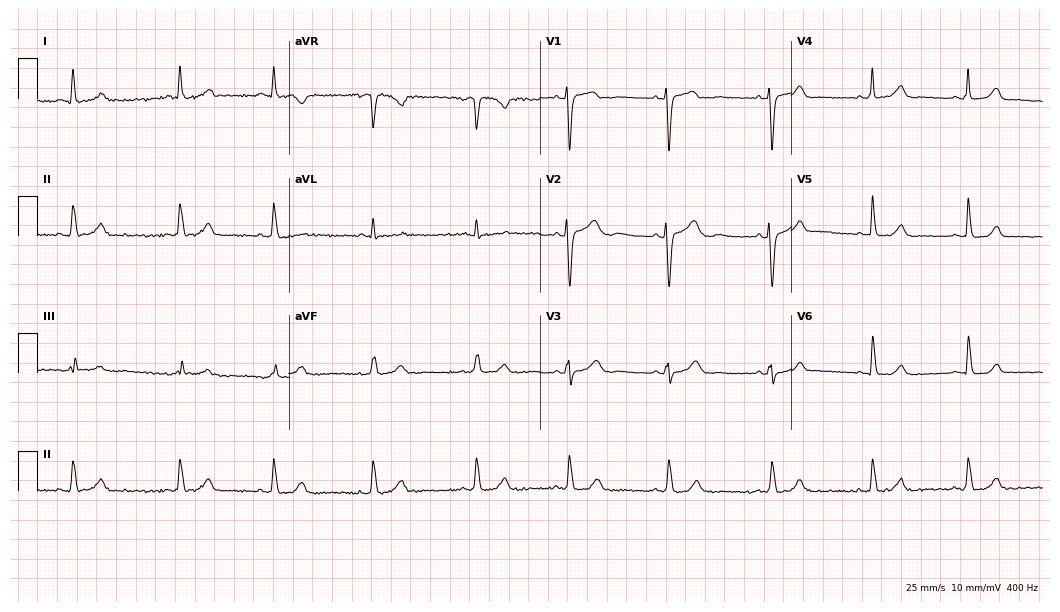
Resting 12-lead electrocardiogram. Patient: a 41-year-old female. None of these six findings is recorded: first-degree AV block, right bundle branch block, left bundle branch block, sinus bradycardia, atrial fibrillation, sinus tachycardia. Findings outside these six are not listed.